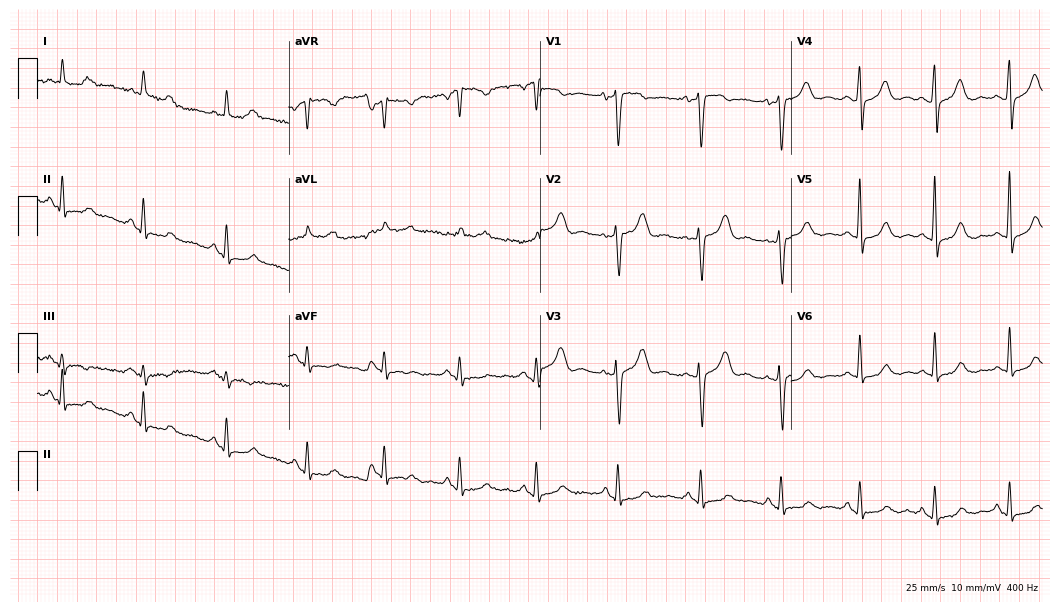
ECG — a 65-year-old male. Screened for six findings — first-degree AV block, right bundle branch block, left bundle branch block, sinus bradycardia, atrial fibrillation, sinus tachycardia — none is recorded. Only these six findings were labelled.